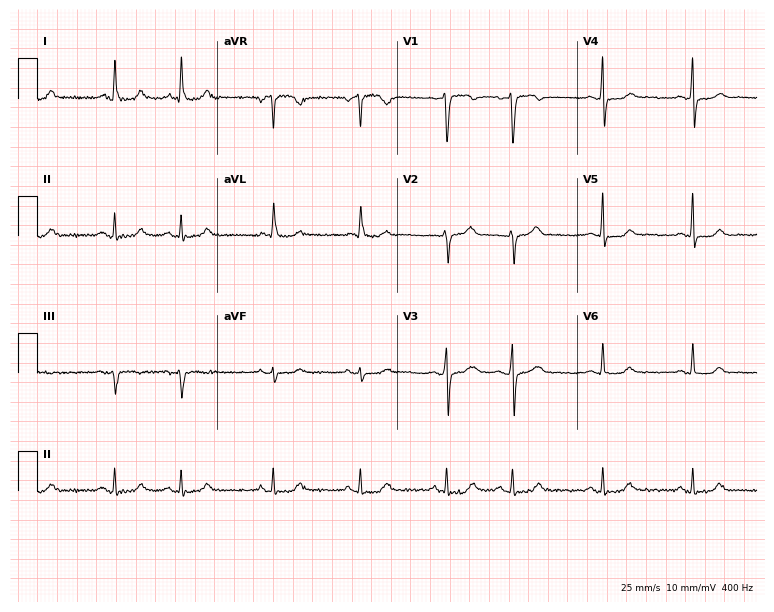
12-lead ECG from a male patient, 68 years old. Screened for six findings — first-degree AV block, right bundle branch block, left bundle branch block, sinus bradycardia, atrial fibrillation, sinus tachycardia — none is recorded. Only these six findings were labelled.